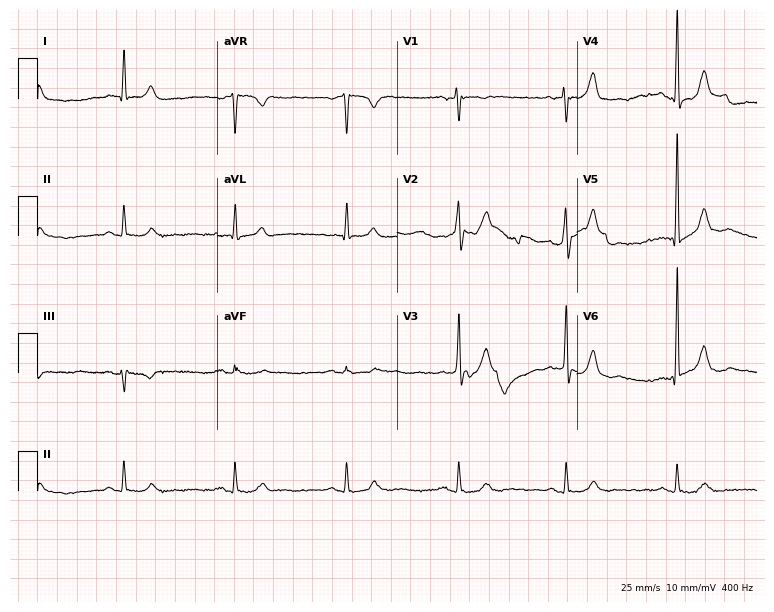
Electrocardiogram, a man, 74 years old. Of the six screened findings (first-degree AV block, right bundle branch block (RBBB), left bundle branch block (LBBB), sinus bradycardia, atrial fibrillation (AF), sinus tachycardia), none is recorded.